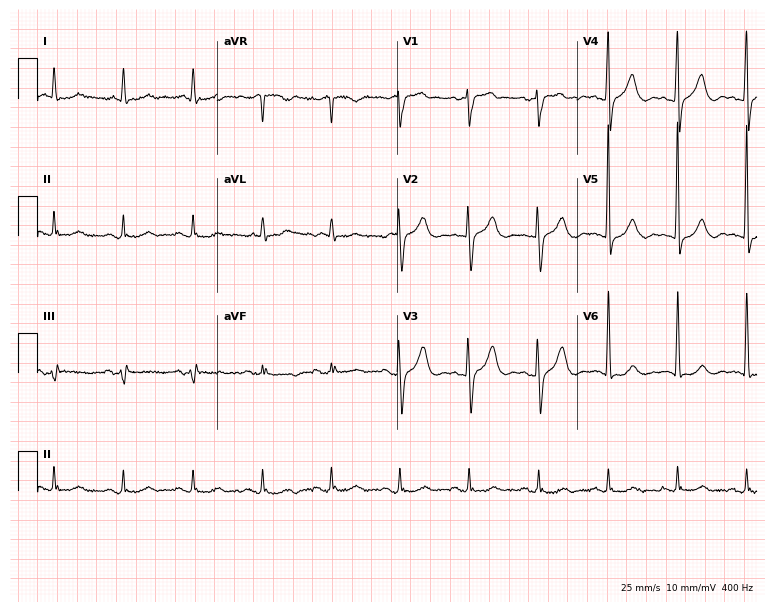
ECG — a 70-year-old male. Screened for six findings — first-degree AV block, right bundle branch block (RBBB), left bundle branch block (LBBB), sinus bradycardia, atrial fibrillation (AF), sinus tachycardia — none is recorded. Findings outside these six are not listed.